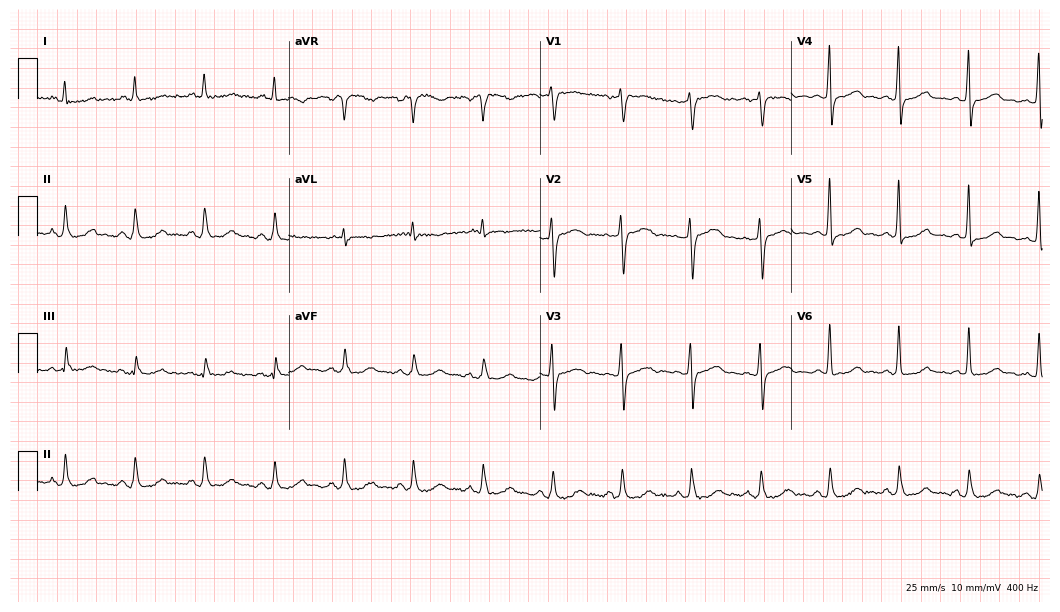
12-lead ECG from a 61-year-old female patient (10.2-second recording at 400 Hz). No first-degree AV block, right bundle branch block (RBBB), left bundle branch block (LBBB), sinus bradycardia, atrial fibrillation (AF) or sinus tachycardia recorded for this tracing. Only these six findings were labelled.